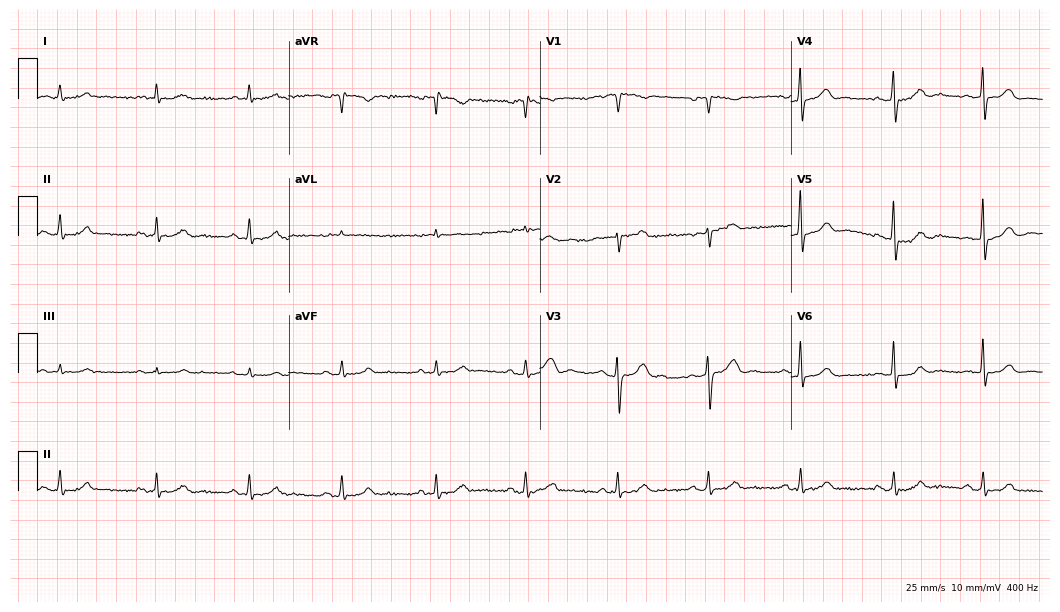
ECG — an 80-year-old male. Labelled as a normal ECG.